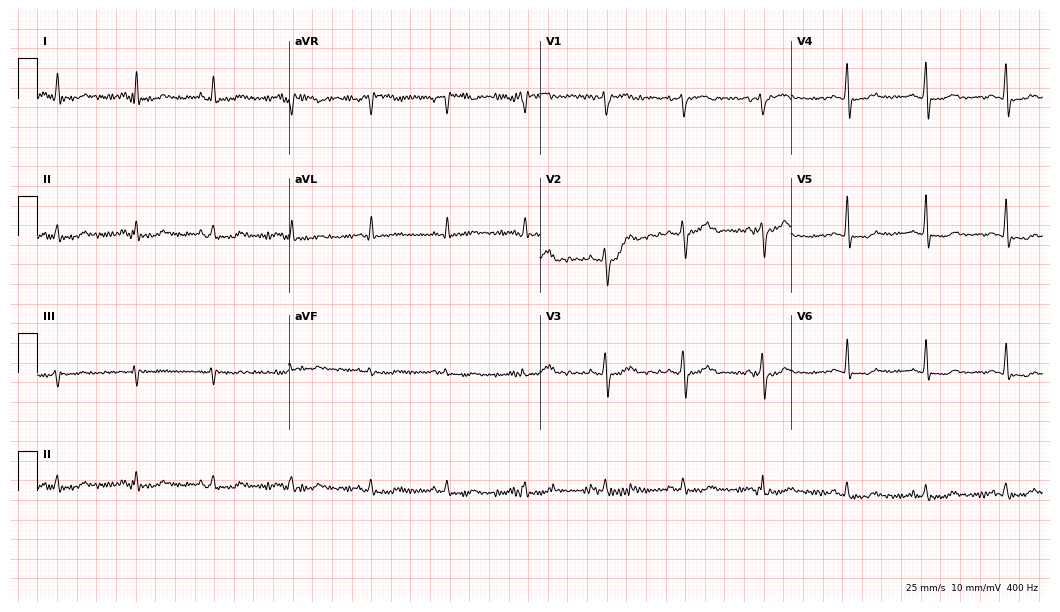
Resting 12-lead electrocardiogram. Patient: a woman, 58 years old. None of these six findings is recorded: first-degree AV block, right bundle branch block, left bundle branch block, sinus bradycardia, atrial fibrillation, sinus tachycardia.